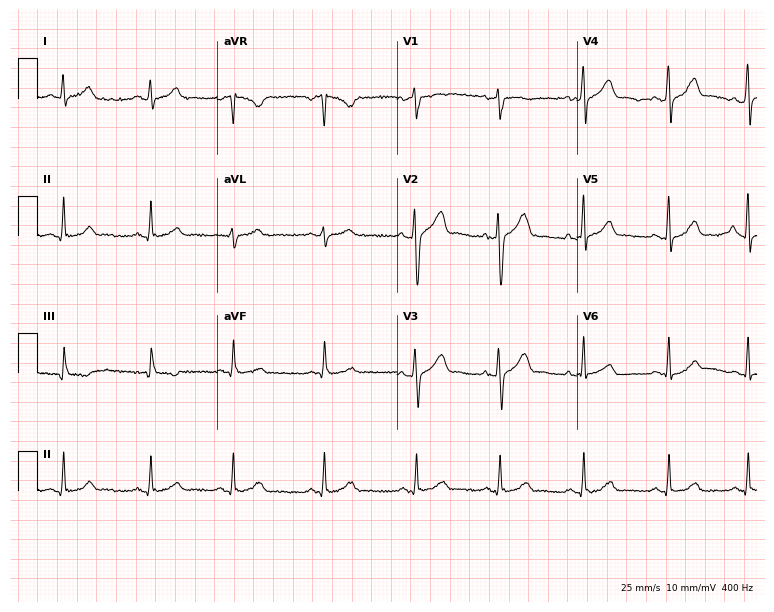
ECG (7.3-second recording at 400 Hz) — a 37-year-old man. Labelled as a normal ECG.